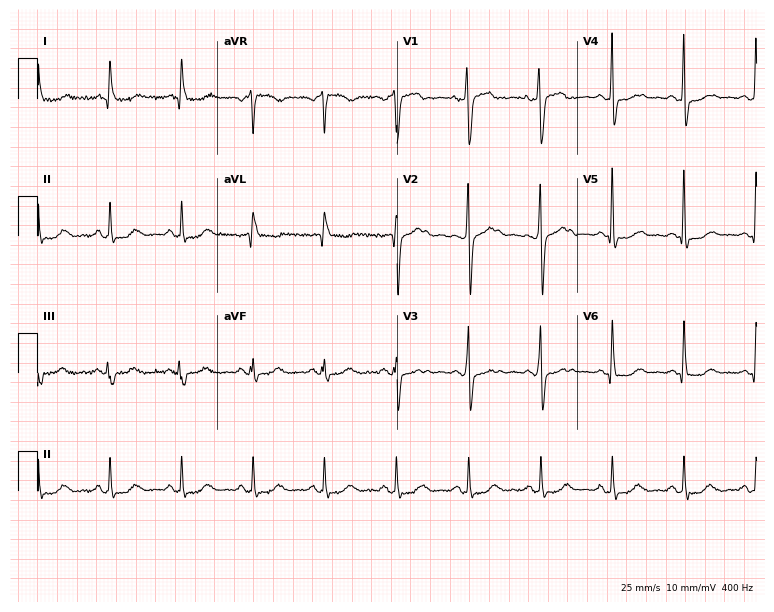
12-lead ECG from a 57-year-old woman. Labelled as a normal ECG.